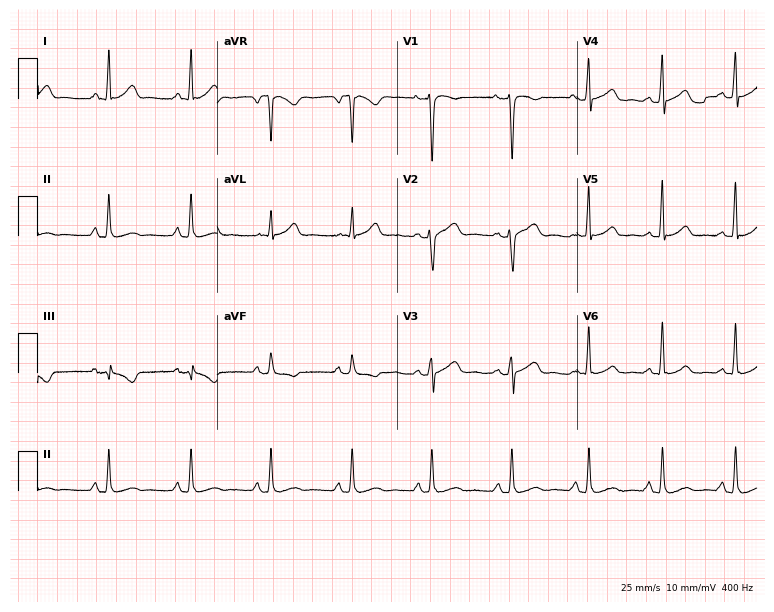
Standard 12-lead ECG recorded from a female, 38 years old (7.3-second recording at 400 Hz). None of these six findings is recorded: first-degree AV block, right bundle branch block, left bundle branch block, sinus bradycardia, atrial fibrillation, sinus tachycardia. Findings outside these six are not listed.